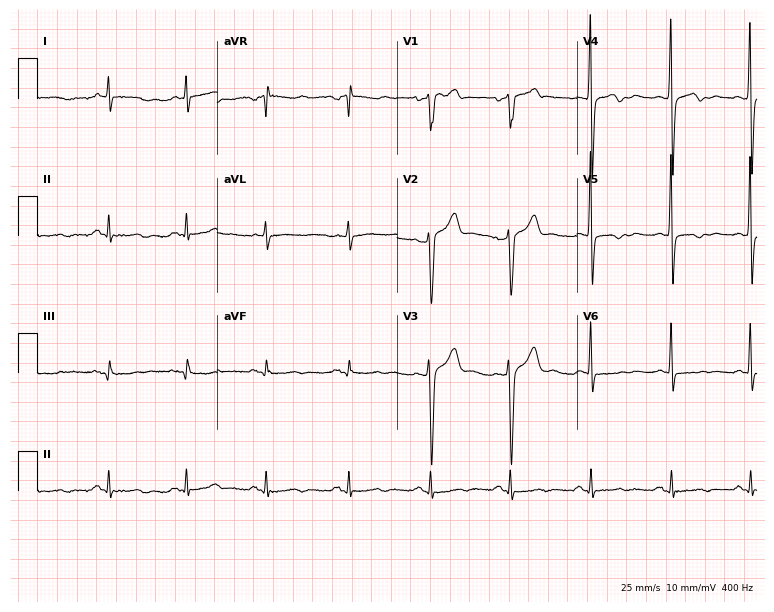
Electrocardiogram, a 48-year-old man. Of the six screened findings (first-degree AV block, right bundle branch block, left bundle branch block, sinus bradycardia, atrial fibrillation, sinus tachycardia), none is recorded. Findings outside these six are not listed.